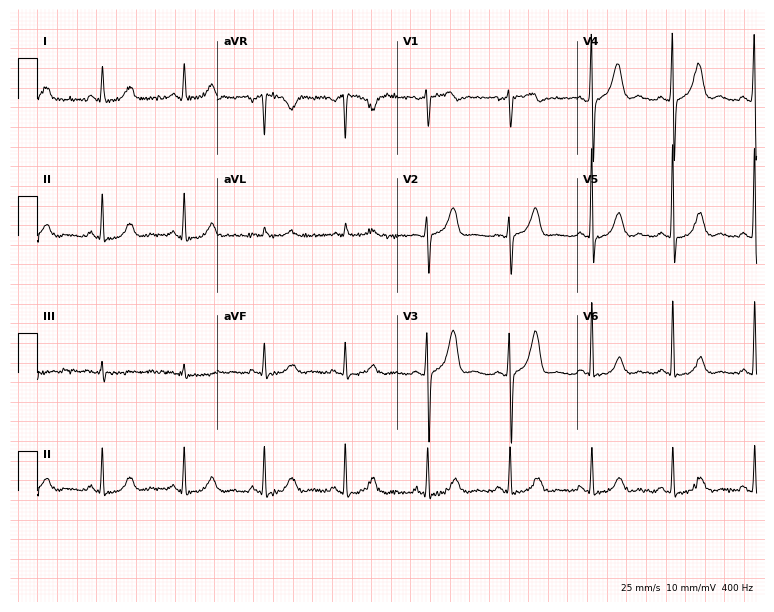
Electrocardiogram (7.3-second recording at 400 Hz), a woman, 58 years old. Overall reading on record: normal ECG.